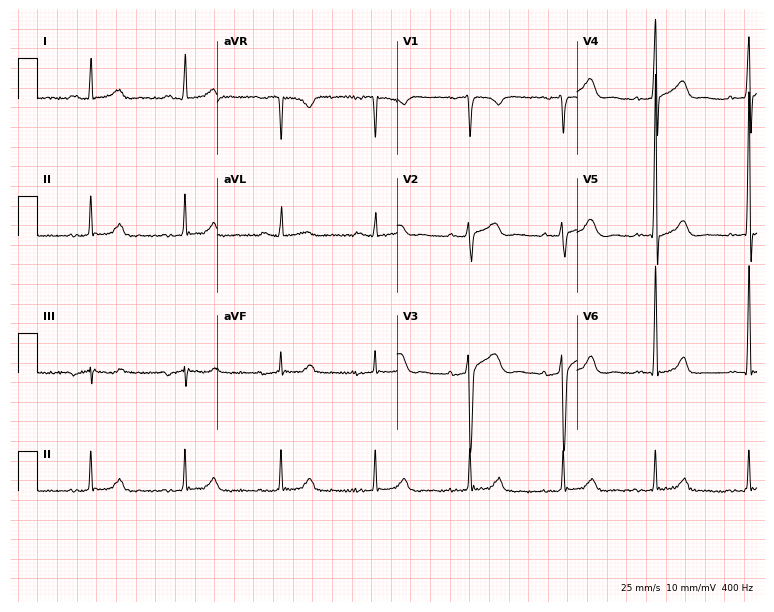
12-lead ECG (7.3-second recording at 400 Hz) from a man, 40 years old. Screened for six findings — first-degree AV block, right bundle branch block, left bundle branch block, sinus bradycardia, atrial fibrillation, sinus tachycardia — none is recorded. Findings outside these six are not listed.